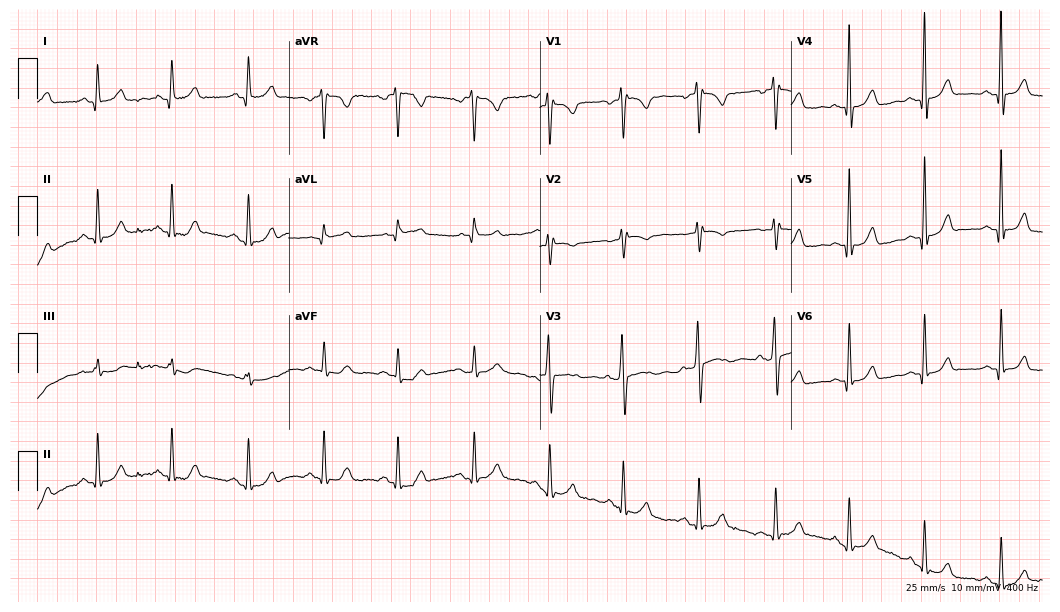
Electrocardiogram (10.2-second recording at 400 Hz), a 40-year-old female. Of the six screened findings (first-degree AV block, right bundle branch block, left bundle branch block, sinus bradycardia, atrial fibrillation, sinus tachycardia), none is recorded. Other findings, if any, are not listed.